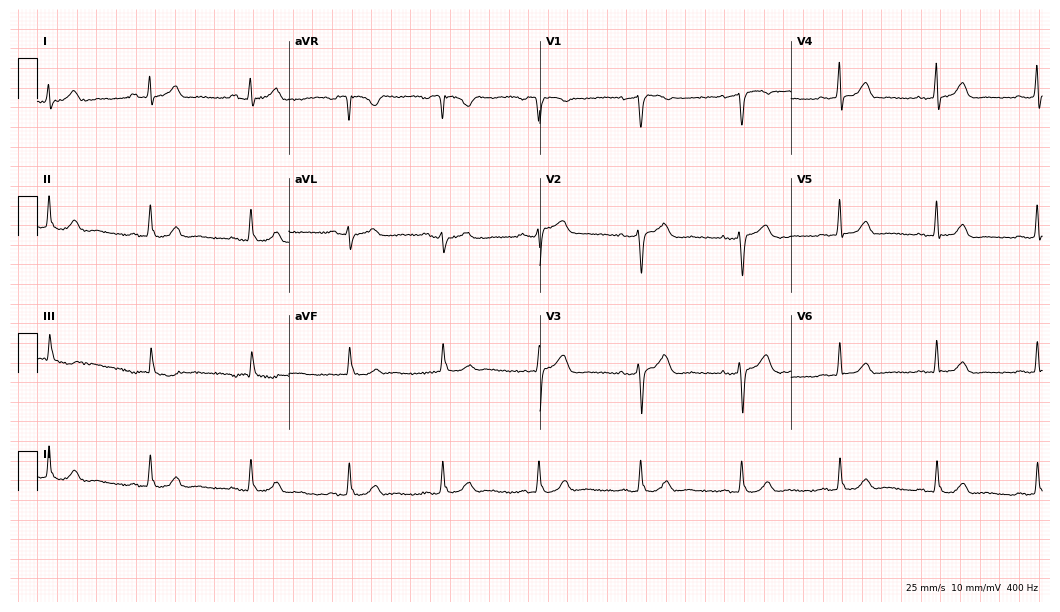
ECG (10.2-second recording at 400 Hz) — a 62-year-old woman. Labelled as a normal ECG.